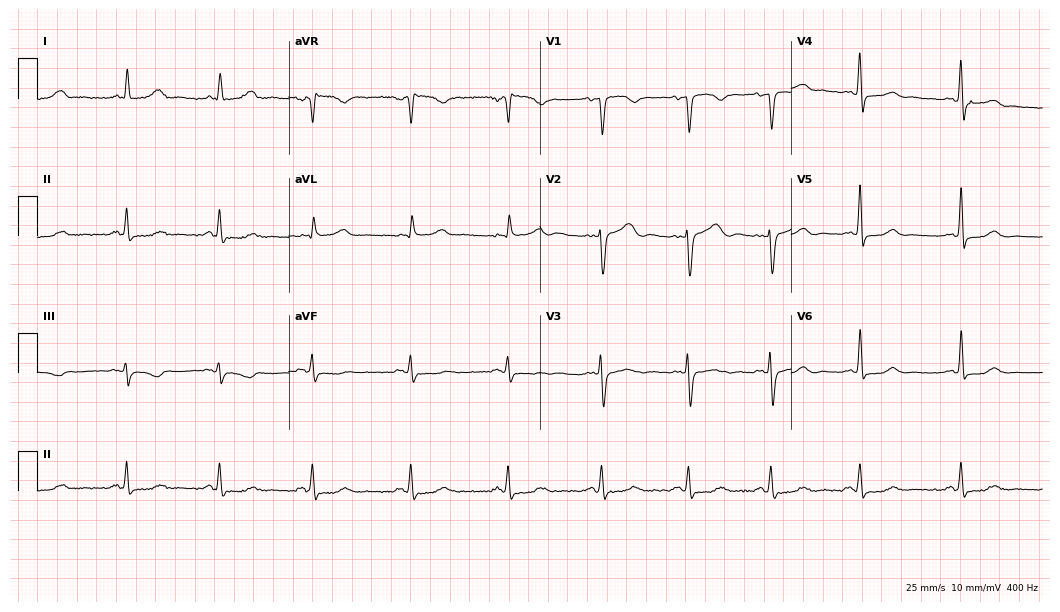
Electrocardiogram (10.2-second recording at 400 Hz), a 54-year-old woman. Overall reading on record: normal ECG.